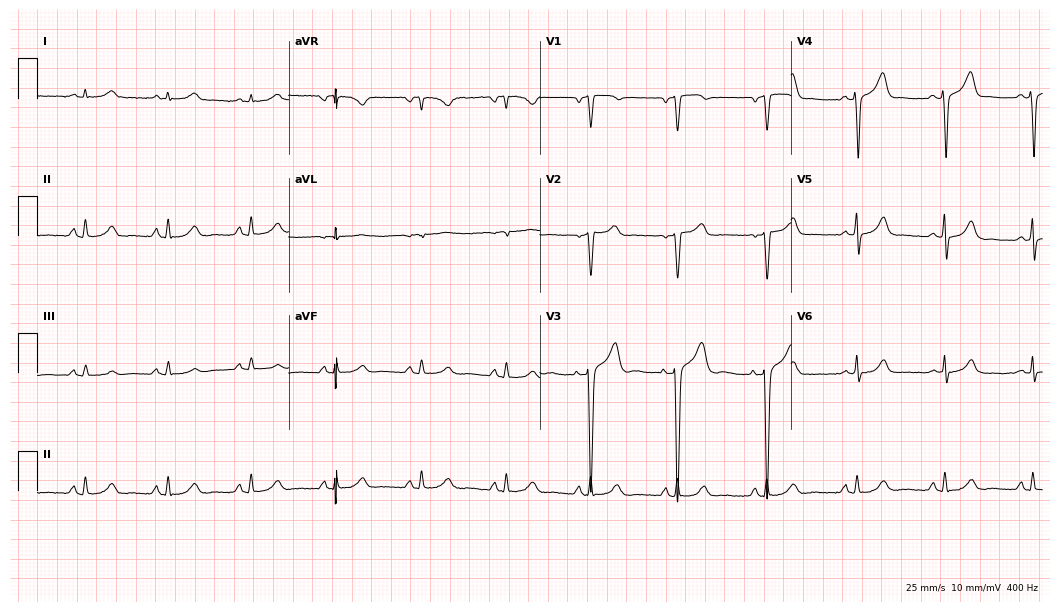
Resting 12-lead electrocardiogram. Patient: a man, 60 years old. None of these six findings is recorded: first-degree AV block, right bundle branch block, left bundle branch block, sinus bradycardia, atrial fibrillation, sinus tachycardia. Only these six findings were labelled.